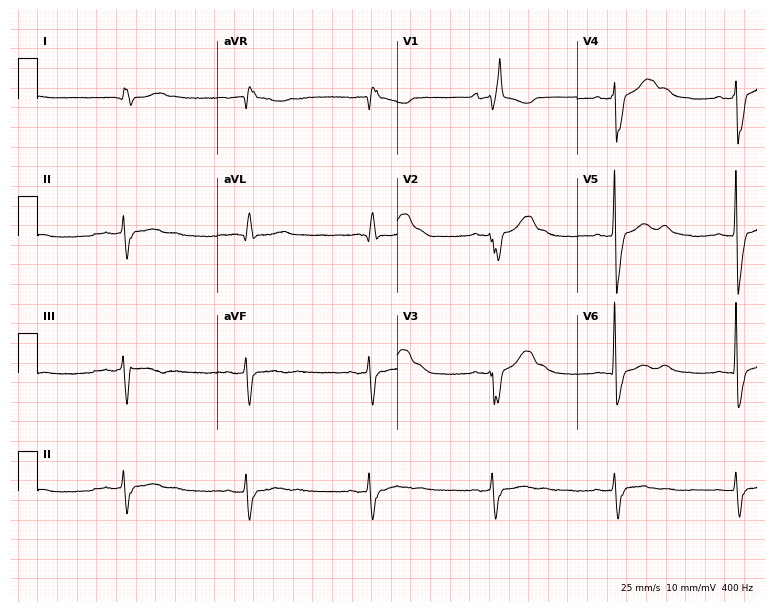
Resting 12-lead electrocardiogram (7.3-second recording at 400 Hz). Patient: a male, 78 years old. The tracing shows right bundle branch block, sinus bradycardia (a sinus rate of 50 beats per minute or less).